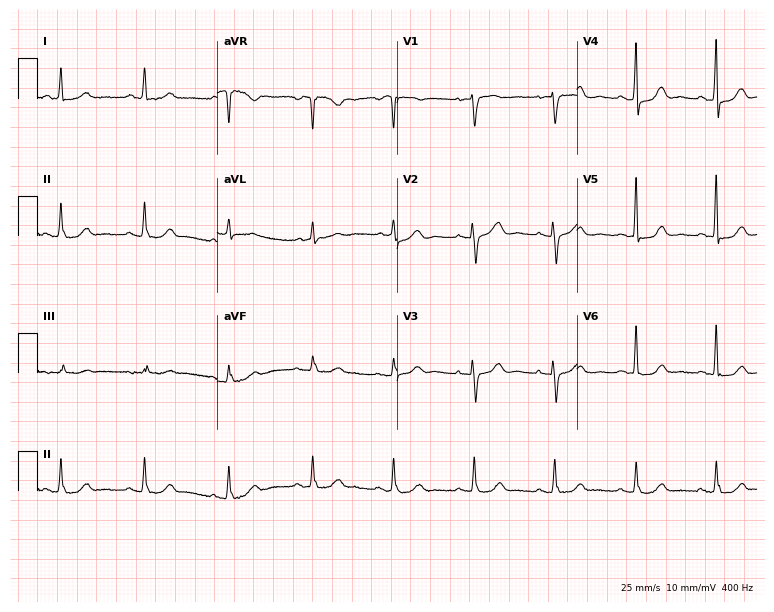
Standard 12-lead ECG recorded from a female, 63 years old (7.3-second recording at 400 Hz). Read as a normal ECG.